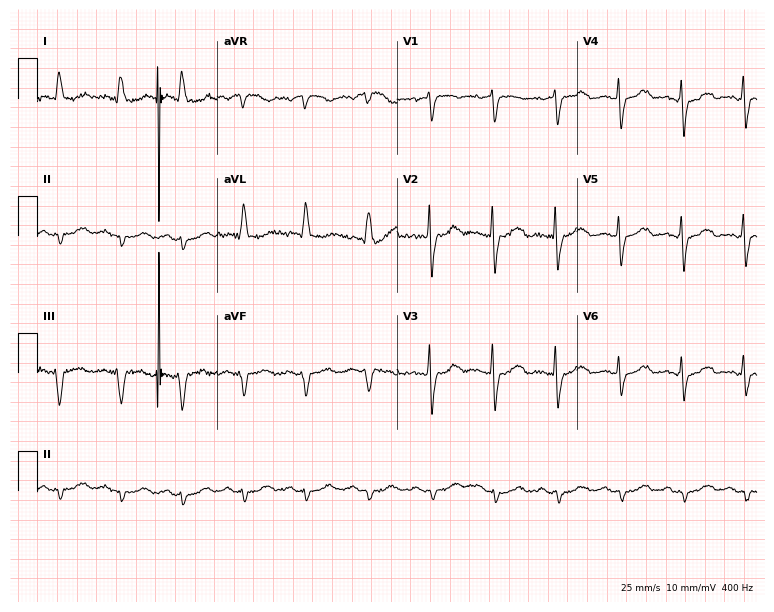
12-lead ECG (7.3-second recording at 400 Hz) from a female patient, 75 years old. Screened for six findings — first-degree AV block, right bundle branch block, left bundle branch block, sinus bradycardia, atrial fibrillation, sinus tachycardia — none is recorded. Only these six findings were labelled.